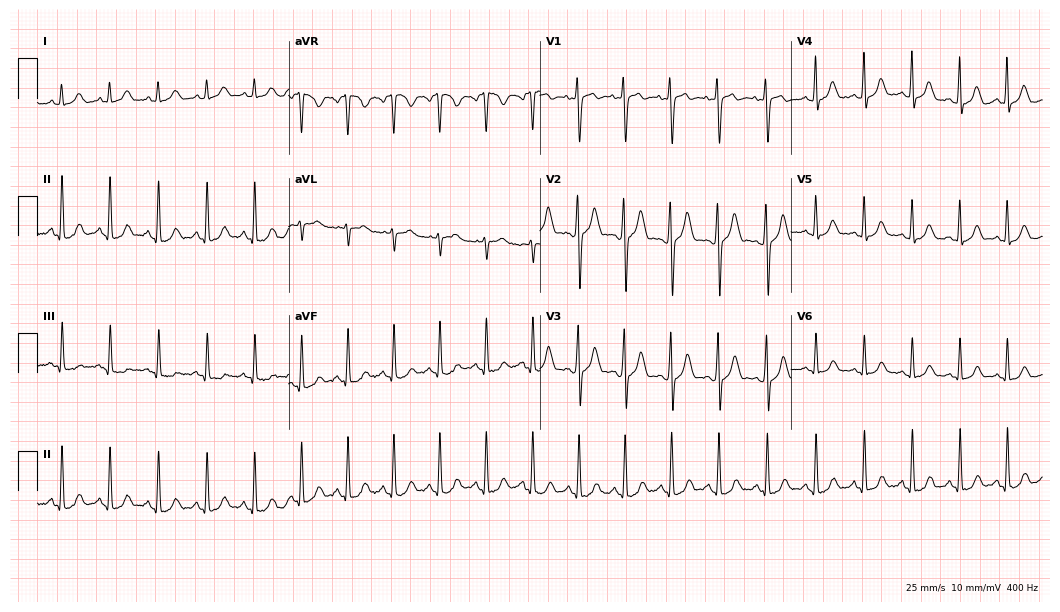
Standard 12-lead ECG recorded from a 19-year-old woman (10.2-second recording at 400 Hz). The tracing shows sinus tachycardia (a sinus rate of 100 beats per minute or more).